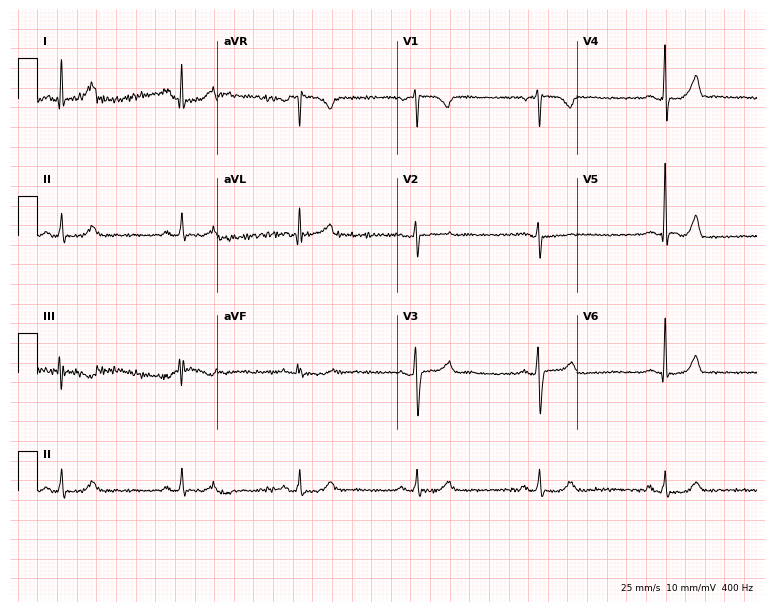
Electrocardiogram (7.3-second recording at 400 Hz), a female, 40 years old. Interpretation includes sinus bradycardia (a sinus rate of 50 beats per minute or less).